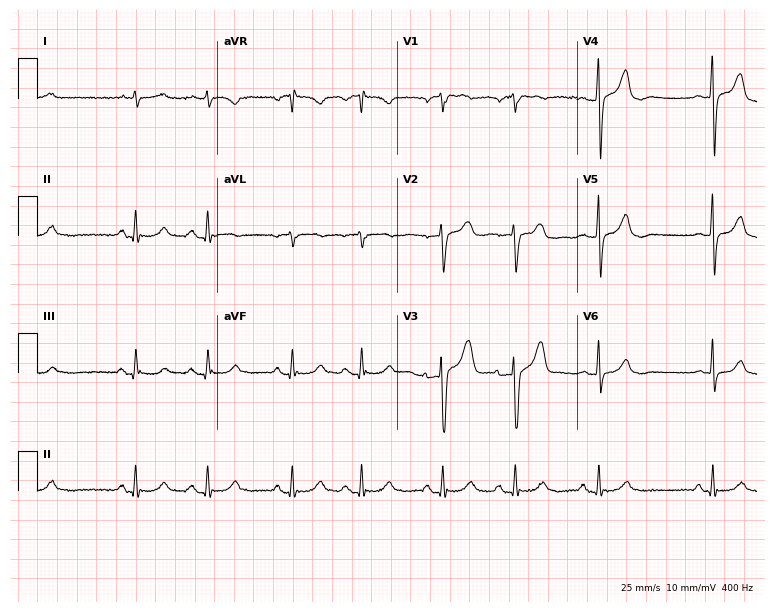
ECG (7.3-second recording at 400 Hz) — a 73-year-old male. Screened for six findings — first-degree AV block, right bundle branch block (RBBB), left bundle branch block (LBBB), sinus bradycardia, atrial fibrillation (AF), sinus tachycardia — none is recorded.